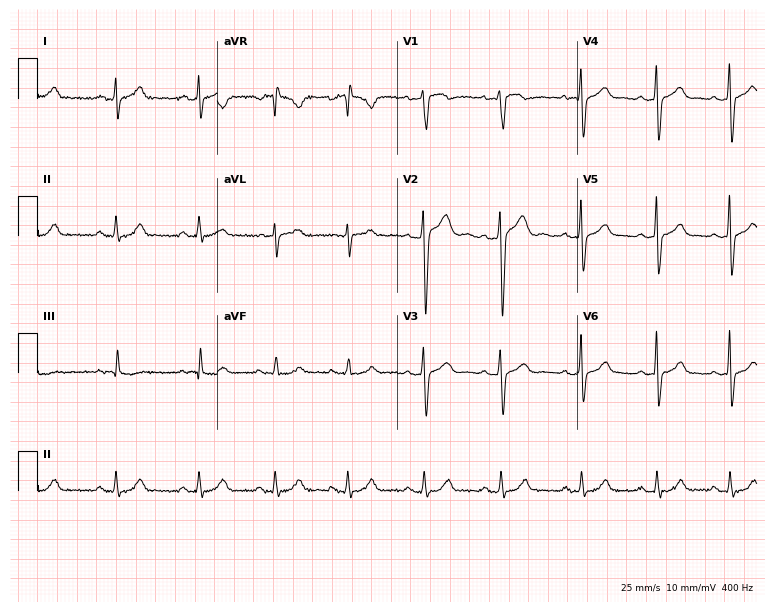
ECG — a 23-year-old male patient. Labelled as a normal ECG.